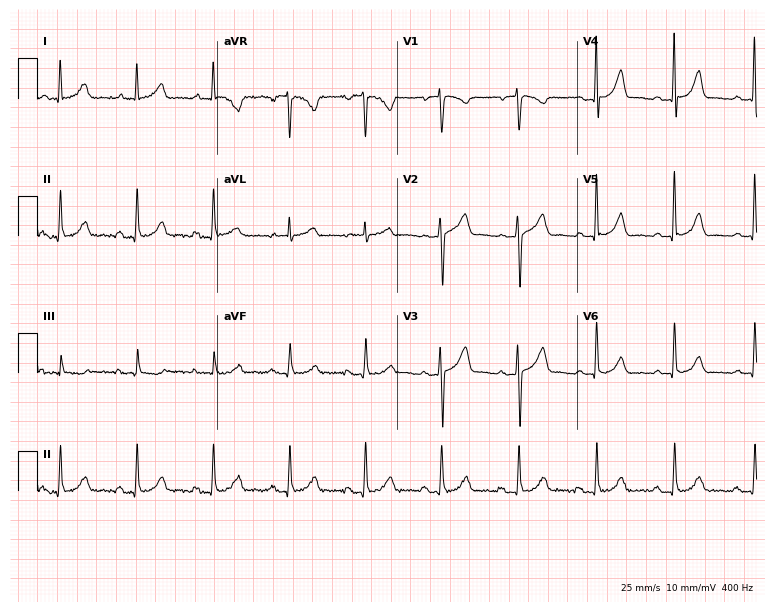
12-lead ECG from a 62-year-old woman. Labelled as a normal ECG.